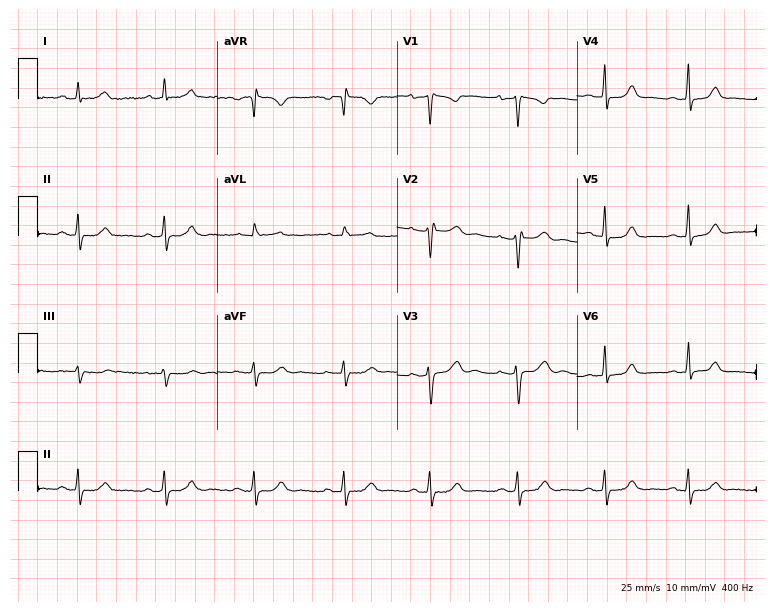
ECG — a 33-year-old female patient. Screened for six findings — first-degree AV block, right bundle branch block (RBBB), left bundle branch block (LBBB), sinus bradycardia, atrial fibrillation (AF), sinus tachycardia — none is recorded. Other findings, if any, are not listed.